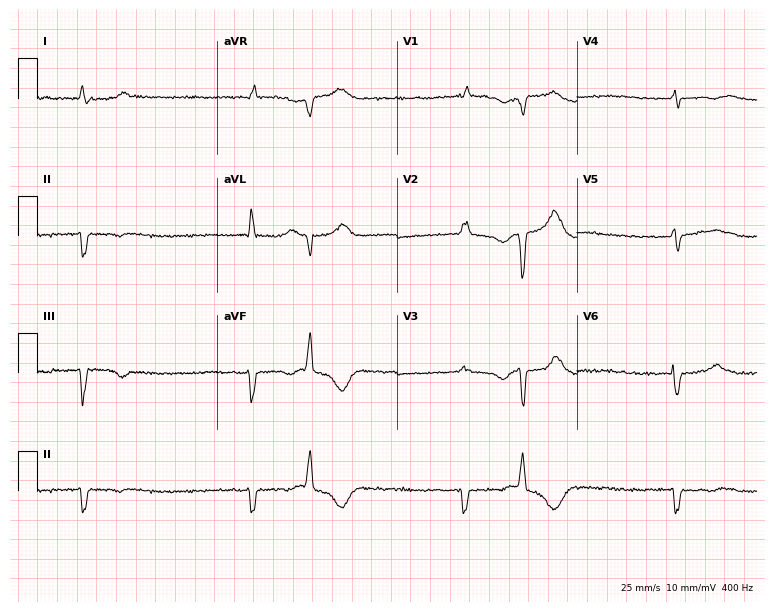
12-lead ECG from a female, 71 years old. Findings include atrial fibrillation.